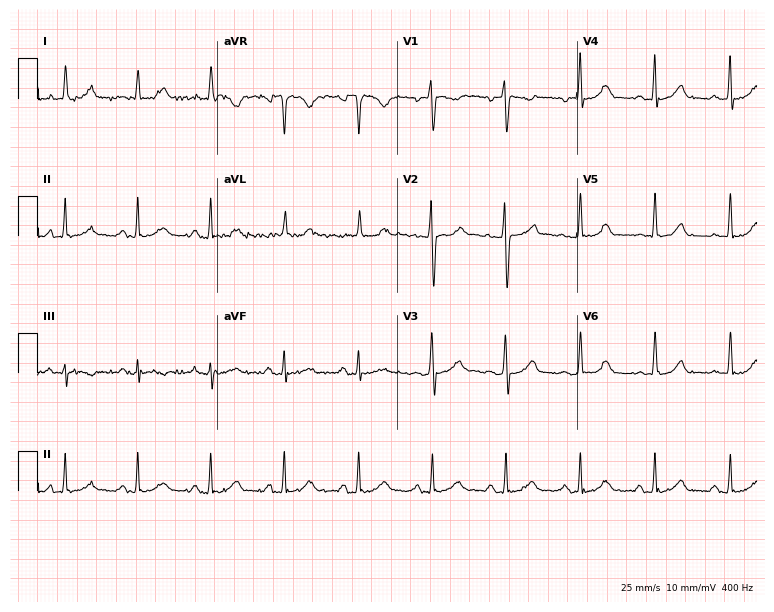
Electrocardiogram (7.3-second recording at 400 Hz), a man, 44 years old. Overall reading on record: normal ECG.